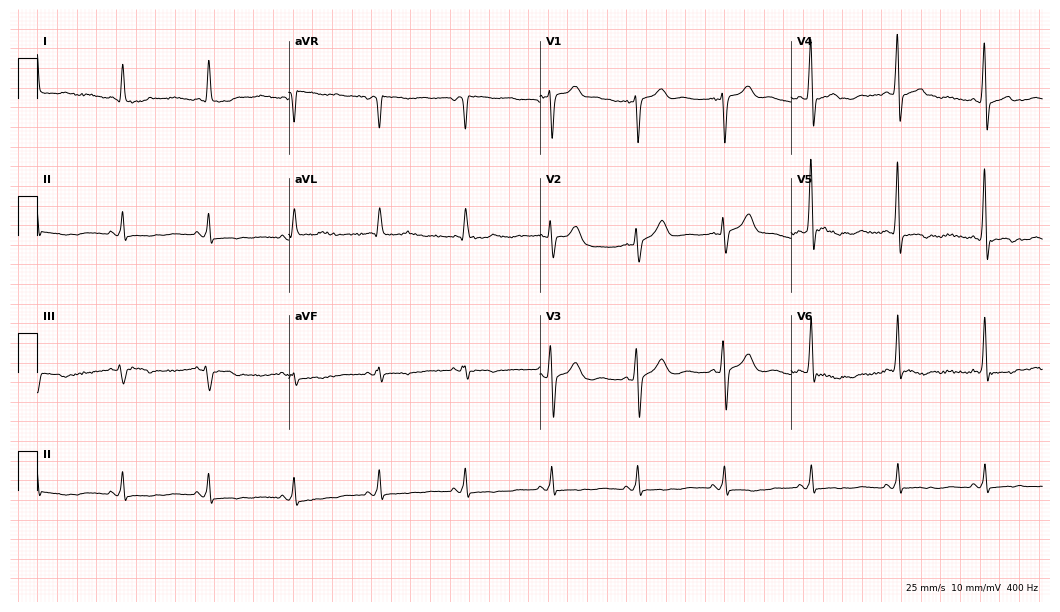
12-lead ECG from a male patient, 76 years old (10.2-second recording at 400 Hz). No first-degree AV block, right bundle branch block, left bundle branch block, sinus bradycardia, atrial fibrillation or sinus tachycardia recorded for this tracing. Findings outside these six are not listed.